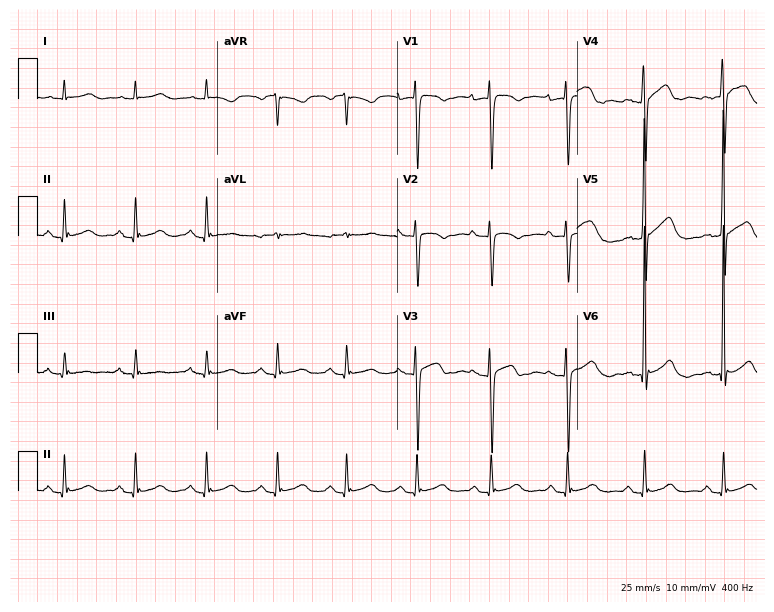
Standard 12-lead ECG recorded from a 69-year-old female patient (7.3-second recording at 400 Hz). None of these six findings is recorded: first-degree AV block, right bundle branch block, left bundle branch block, sinus bradycardia, atrial fibrillation, sinus tachycardia.